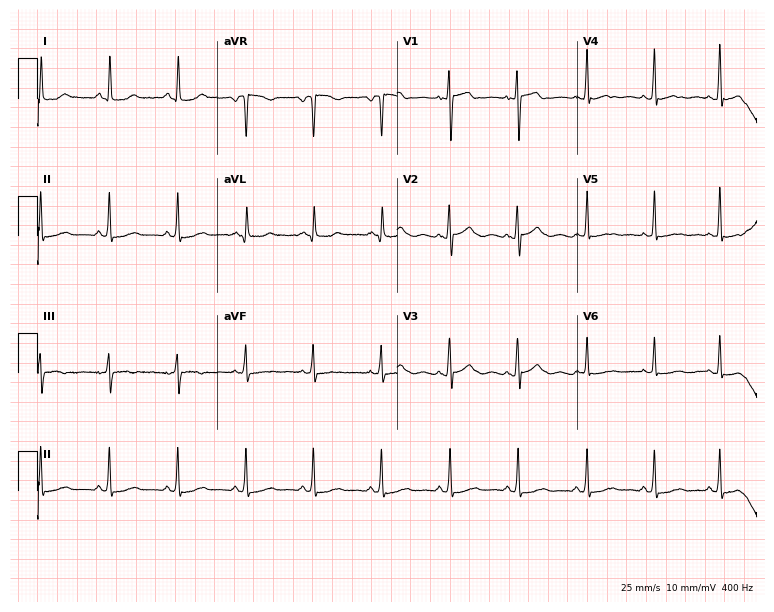
Standard 12-lead ECG recorded from a 38-year-old female. None of these six findings is recorded: first-degree AV block, right bundle branch block, left bundle branch block, sinus bradycardia, atrial fibrillation, sinus tachycardia.